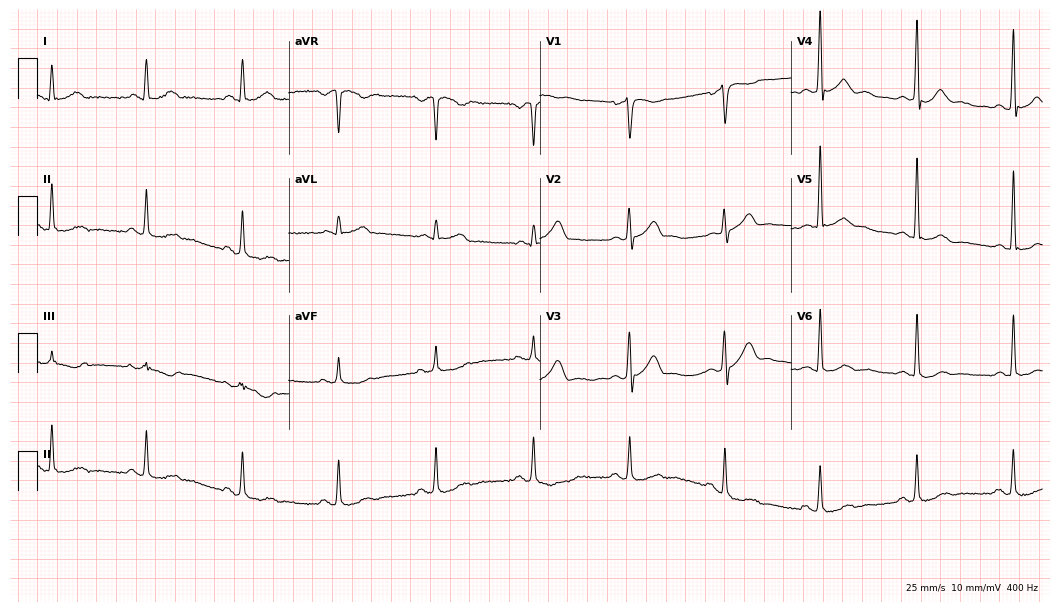
Electrocardiogram, a 47-year-old man. Overall reading on record: normal ECG.